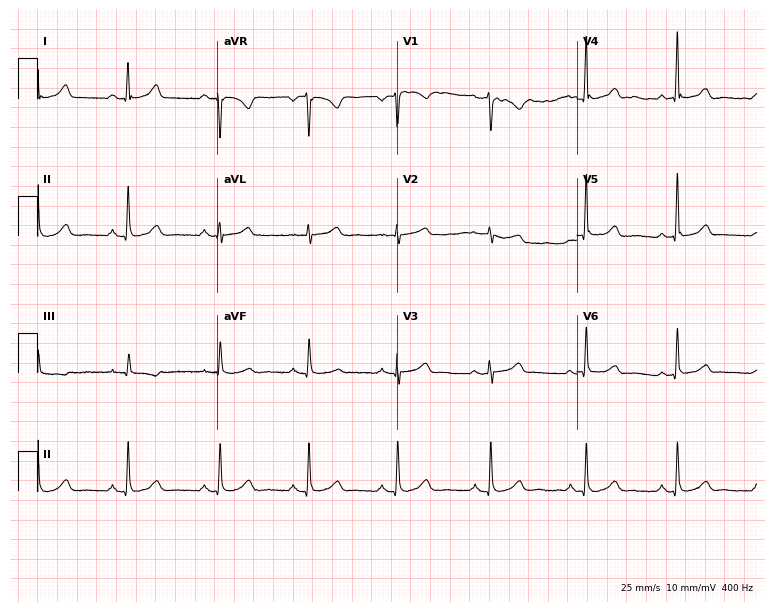
Standard 12-lead ECG recorded from a 60-year-old female (7.3-second recording at 400 Hz). Read as a normal ECG.